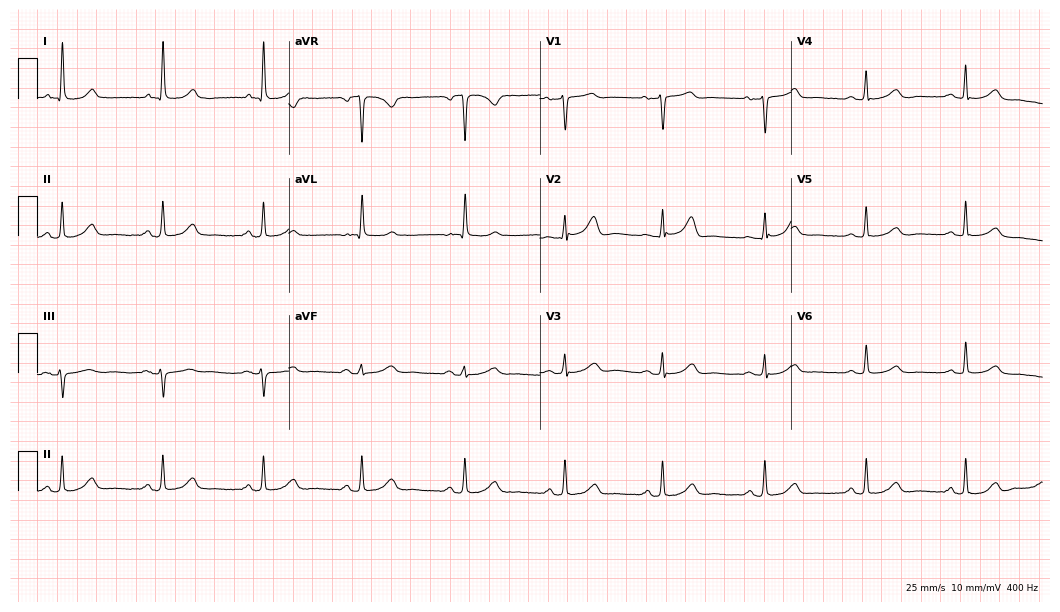
12-lead ECG from a 71-year-old woman (10.2-second recording at 400 Hz). Recorded interpretation: within normal limits.